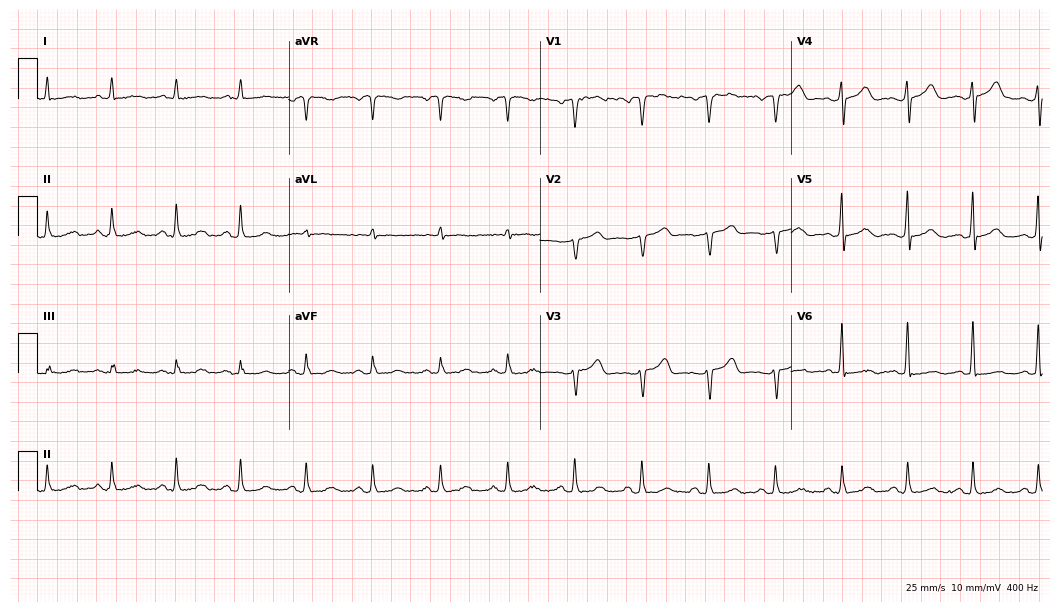
12-lead ECG (10.2-second recording at 400 Hz) from a 43-year-old male. Labelled as a normal ECG.